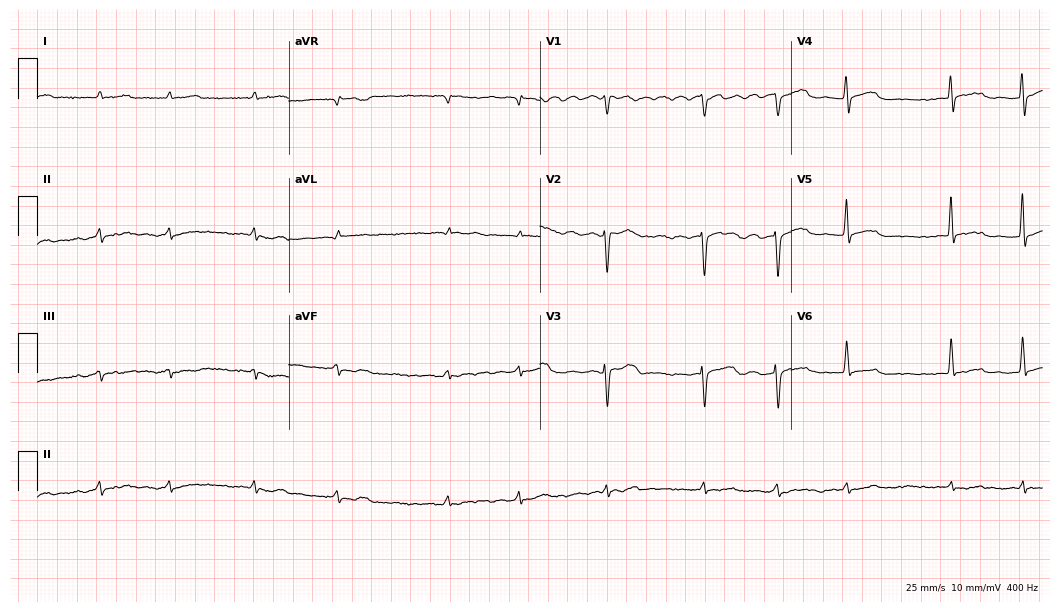
12-lead ECG from a woman, 69 years old. Shows atrial fibrillation.